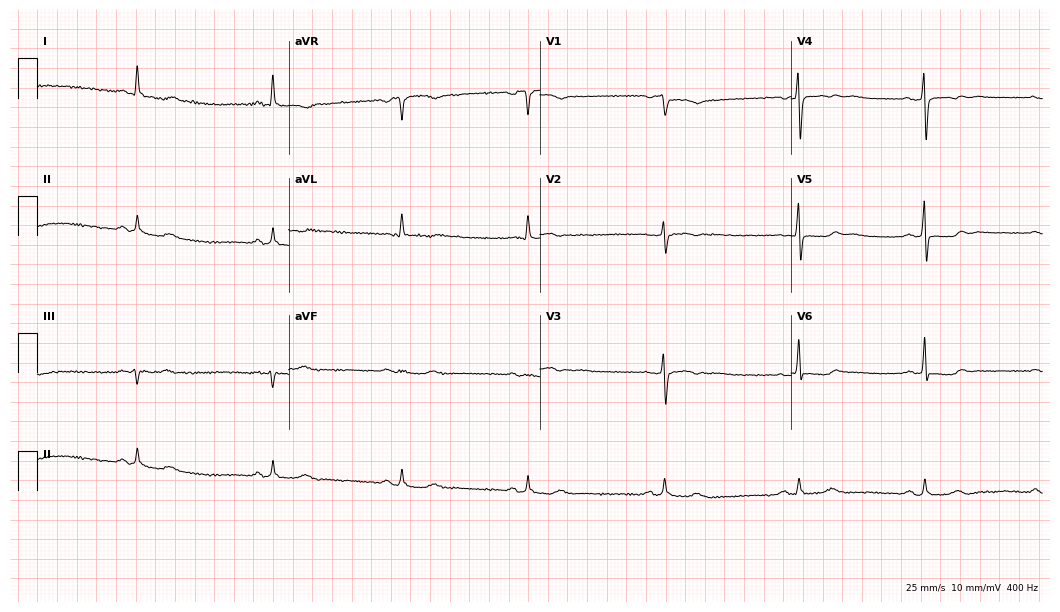
12-lead ECG from a 58-year-old female patient. Shows sinus bradycardia (a sinus rate of 50 beats per minute or less).